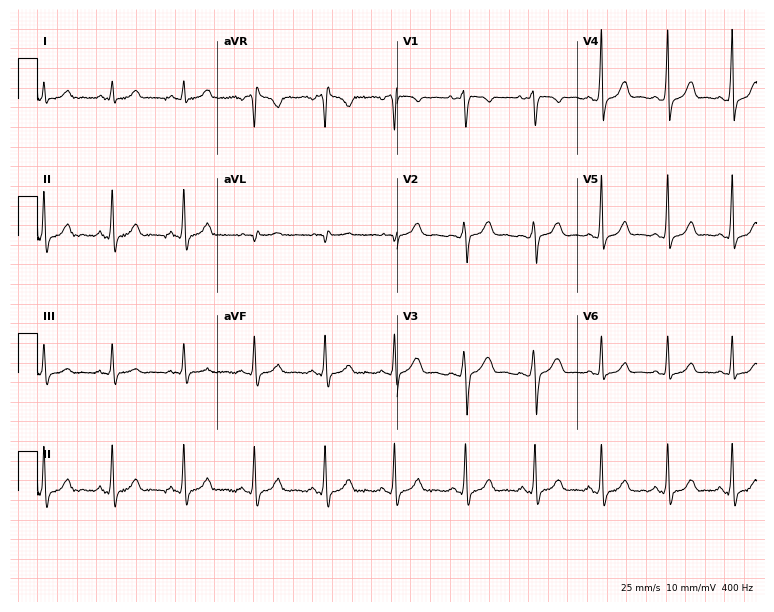
12-lead ECG from a female patient, 24 years old. Screened for six findings — first-degree AV block, right bundle branch block, left bundle branch block, sinus bradycardia, atrial fibrillation, sinus tachycardia — none is recorded.